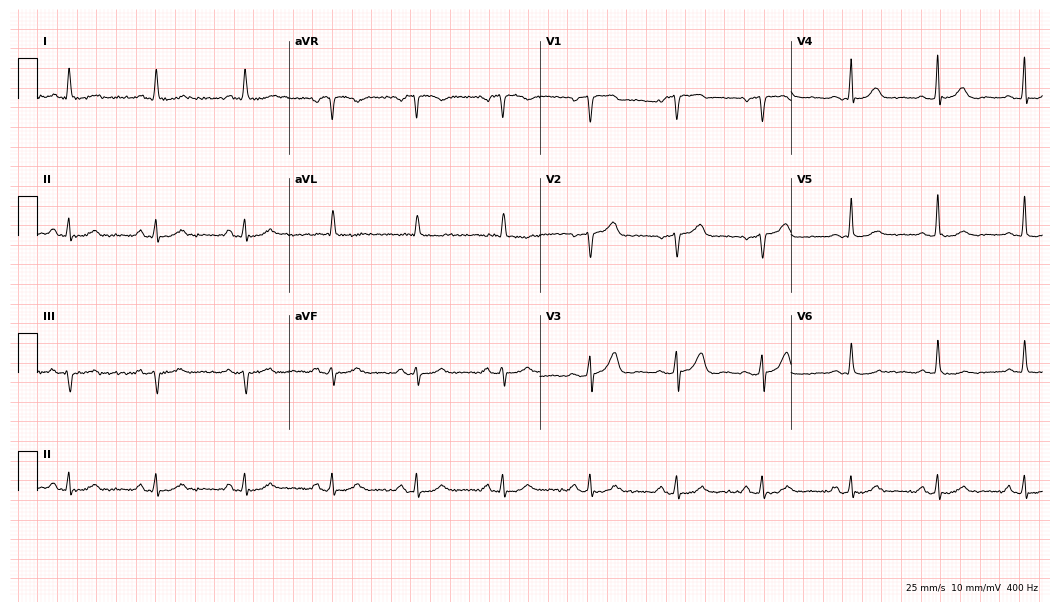
ECG (10.2-second recording at 400 Hz) — a man, 59 years old. Screened for six findings — first-degree AV block, right bundle branch block, left bundle branch block, sinus bradycardia, atrial fibrillation, sinus tachycardia — none is recorded. Other findings, if any, are not listed.